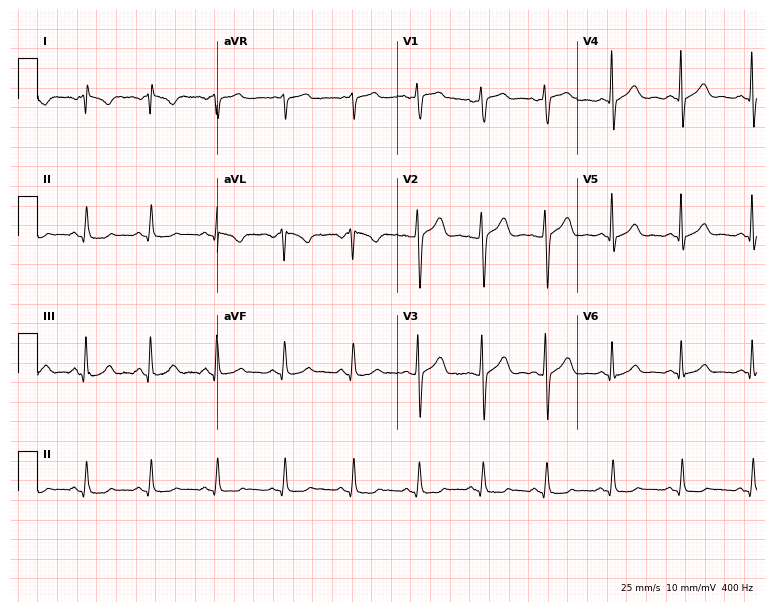
ECG (7.3-second recording at 400 Hz) — a woman, 37 years old. Screened for six findings — first-degree AV block, right bundle branch block (RBBB), left bundle branch block (LBBB), sinus bradycardia, atrial fibrillation (AF), sinus tachycardia — none is recorded. Other findings, if any, are not listed.